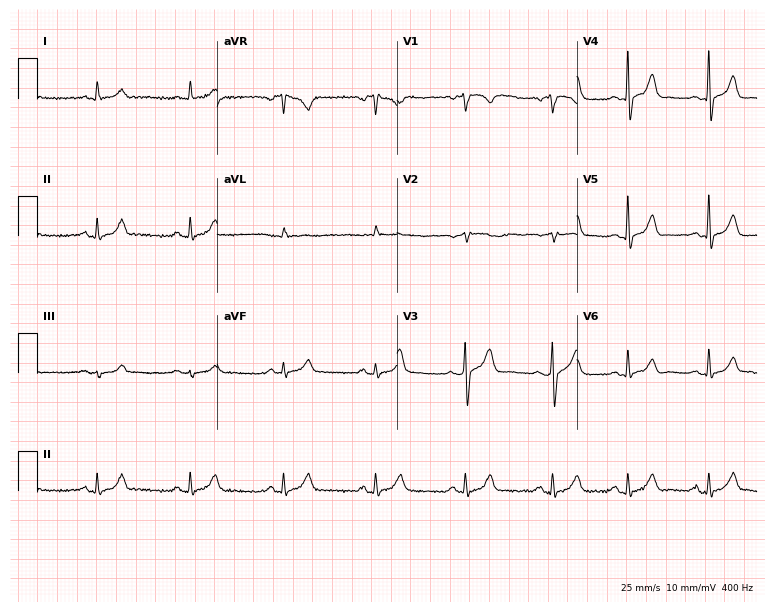
ECG — a man, 71 years old. Labelled as a normal ECG.